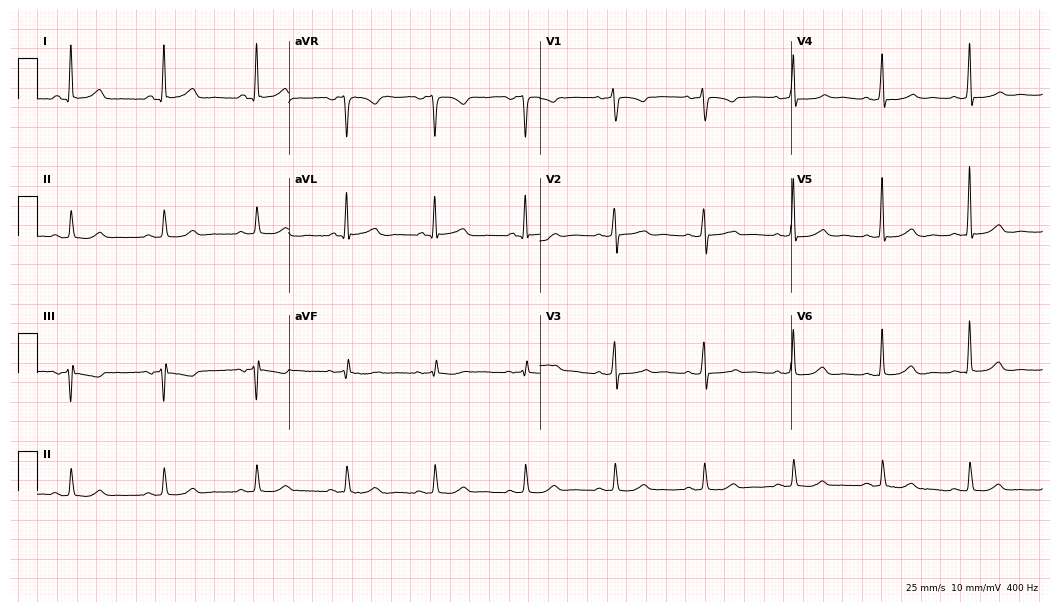
Standard 12-lead ECG recorded from a woman, 72 years old (10.2-second recording at 400 Hz). Read as a normal ECG.